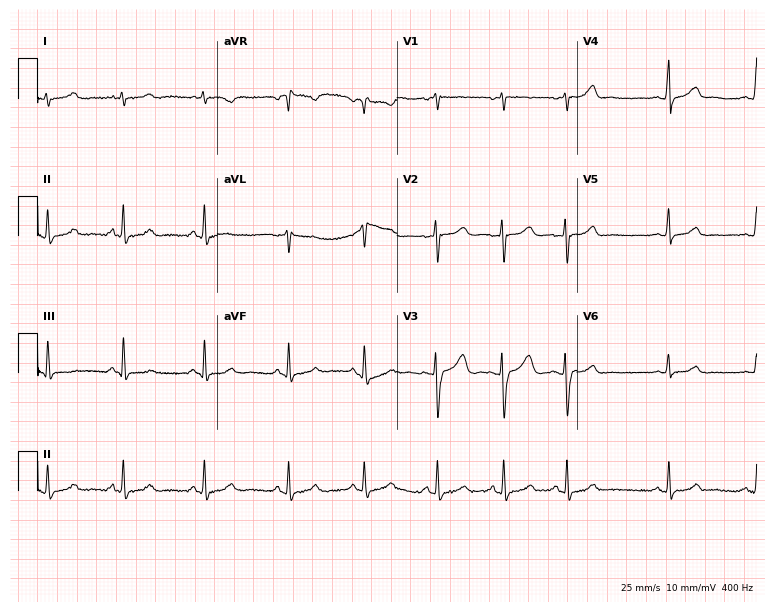
12-lead ECG from an 18-year-old female patient (7.3-second recording at 400 Hz). No first-degree AV block, right bundle branch block (RBBB), left bundle branch block (LBBB), sinus bradycardia, atrial fibrillation (AF) or sinus tachycardia recorded for this tracing. Findings outside these six are not listed.